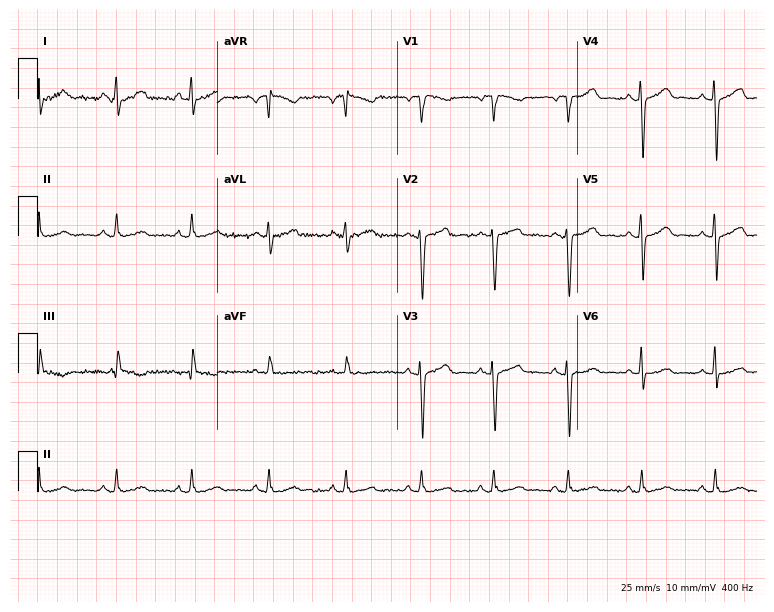
Standard 12-lead ECG recorded from a 39-year-old man. Read as a normal ECG.